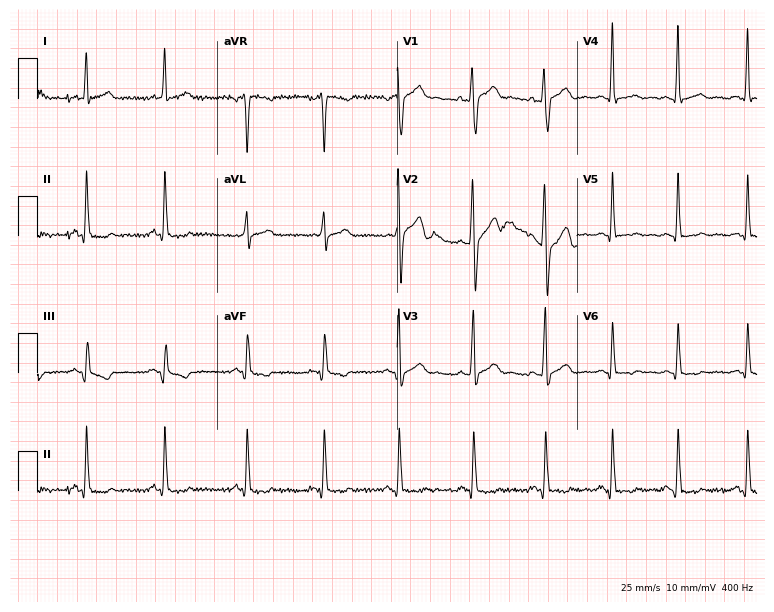
12-lead ECG from a 24-year-old male (7.3-second recording at 400 Hz). No first-degree AV block, right bundle branch block, left bundle branch block, sinus bradycardia, atrial fibrillation or sinus tachycardia recorded for this tracing.